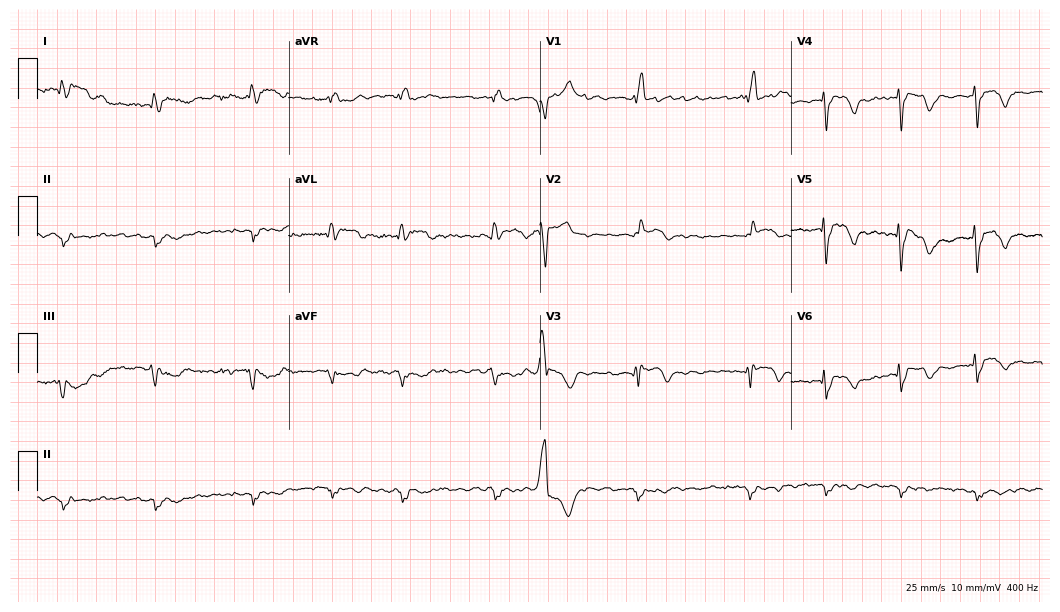
Resting 12-lead electrocardiogram (10.2-second recording at 400 Hz). Patient: an 82-year-old man. The tracing shows right bundle branch block, atrial fibrillation.